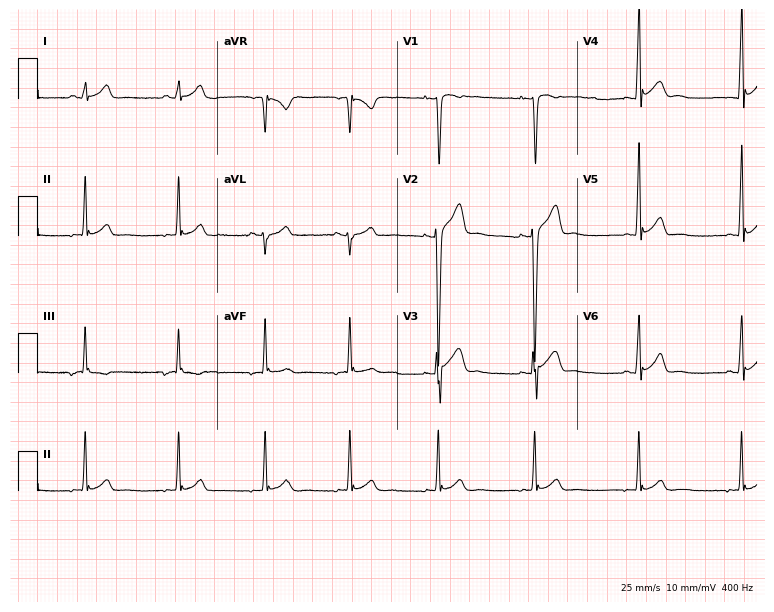
12-lead ECG from a male, 19 years old. Labelled as a normal ECG.